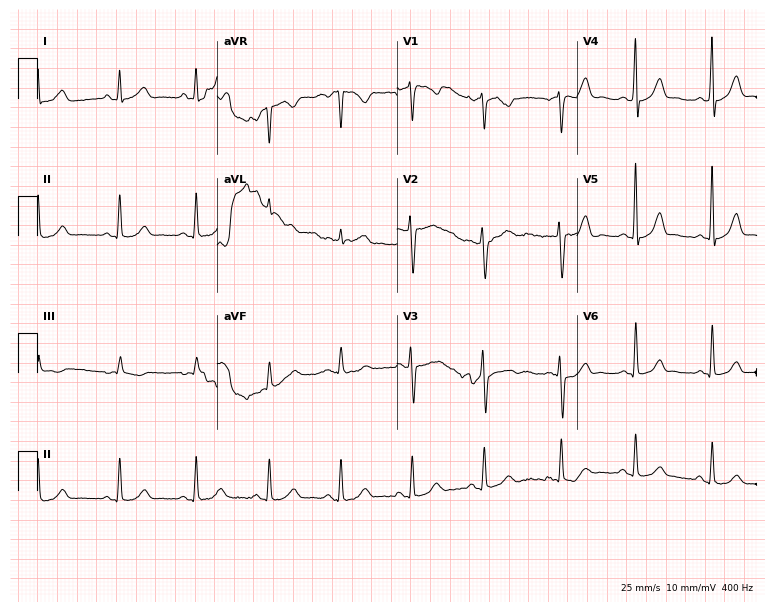
Resting 12-lead electrocardiogram (7.3-second recording at 400 Hz). Patient: a woman, 18 years old. None of these six findings is recorded: first-degree AV block, right bundle branch block, left bundle branch block, sinus bradycardia, atrial fibrillation, sinus tachycardia.